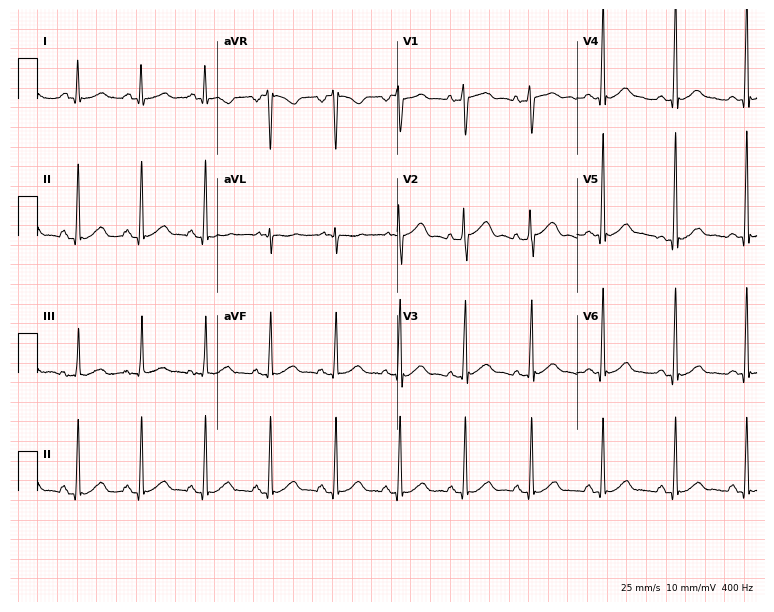
Electrocardiogram (7.3-second recording at 400 Hz), a 24-year-old female patient. Overall reading on record: normal ECG.